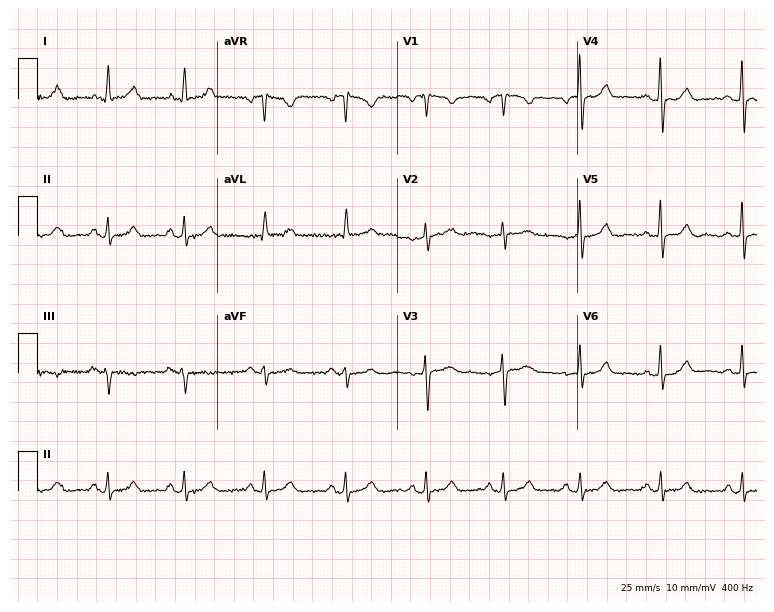
ECG — a 62-year-old woman. Labelled as a normal ECG.